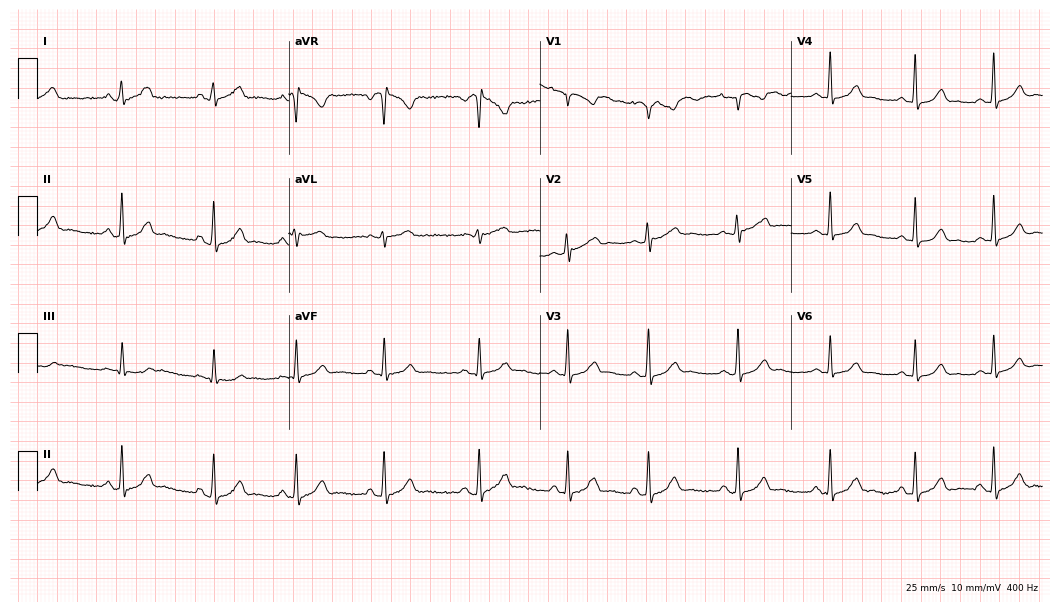
ECG (10.2-second recording at 400 Hz) — a female, 25 years old. Labelled as a normal ECG.